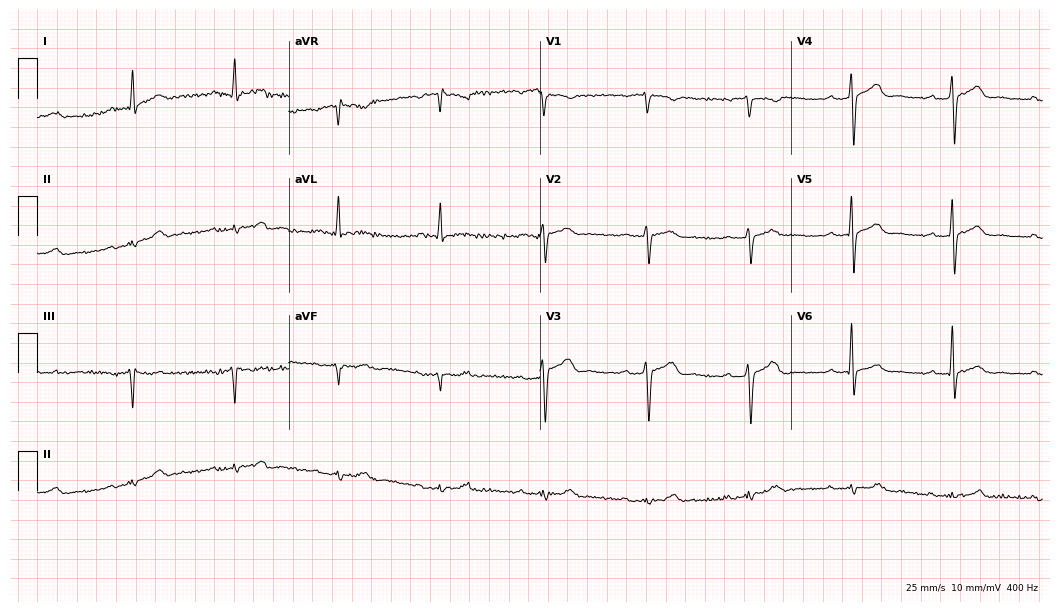
Electrocardiogram (10.2-second recording at 400 Hz), a 61-year-old man. Interpretation includes first-degree AV block.